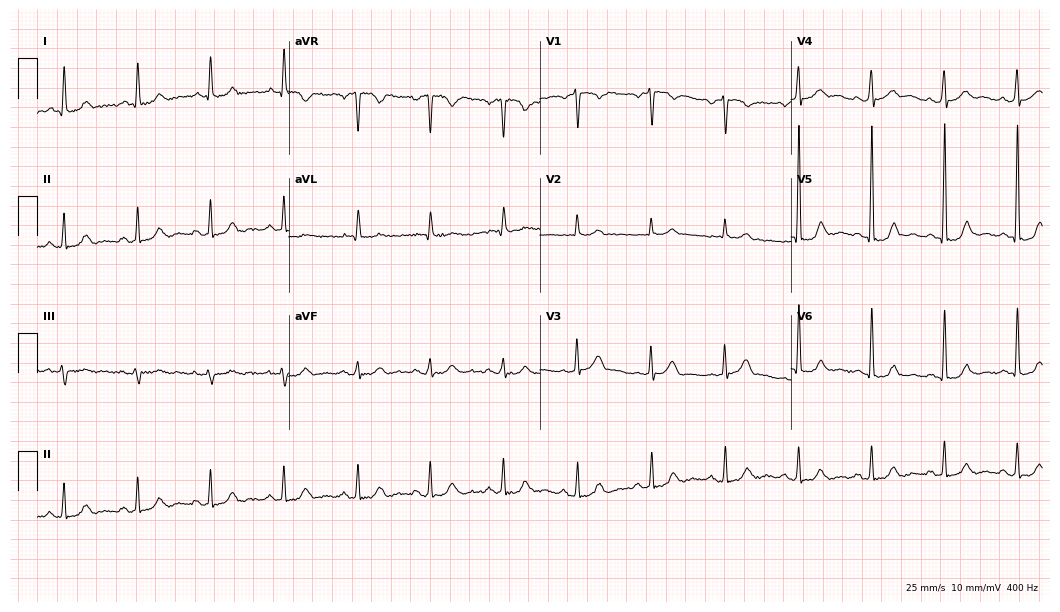
Resting 12-lead electrocardiogram (10.2-second recording at 400 Hz). Patient: a 76-year-old man. None of these six findings is recorded: first-degree AV block, right bundle branch block (RBBB), left bundle branch block (LBBB), sinus bradycardia, atrial fibrillation (AF), sinus tachycardia. Only these six findings were labelled.